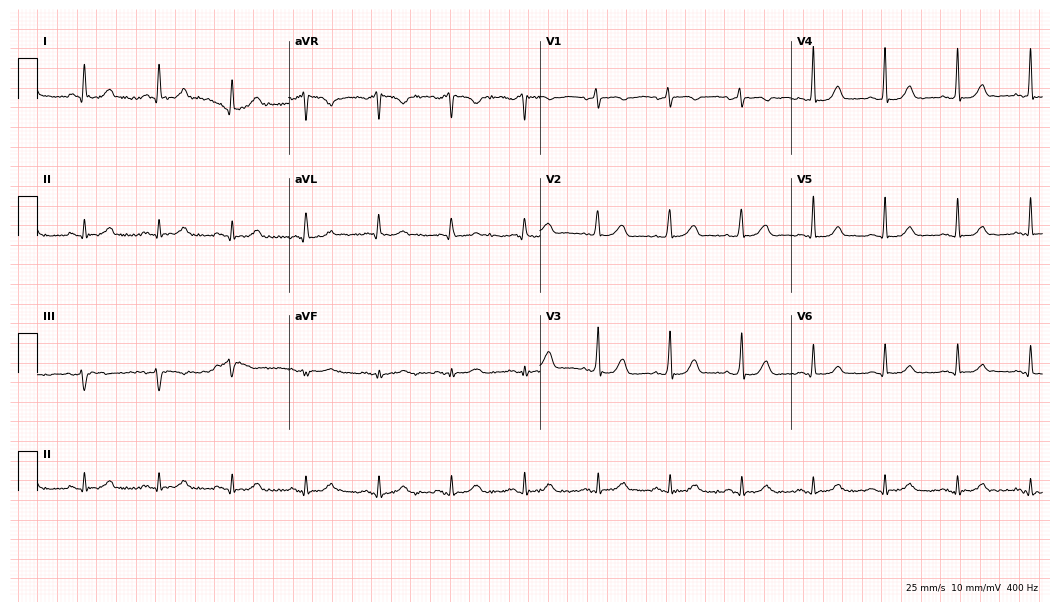
Standard 12-lead ECG recorded from a female, 55 years old (10.2-second recording at 400 Hz). Read as a normal ECG.